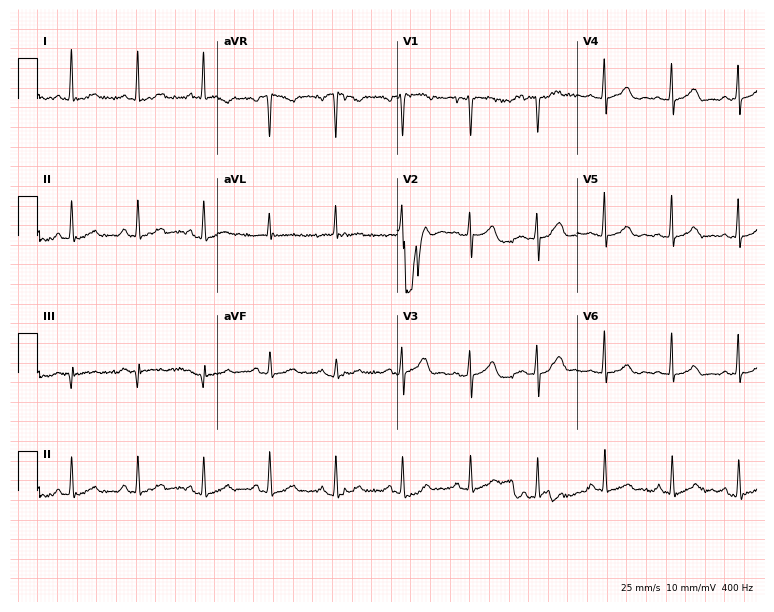
Resting 12-lead electrocardiogram (7.3-second recording at 400 Hz). Patient: a female, 46 years old. Read as a normal ECG.